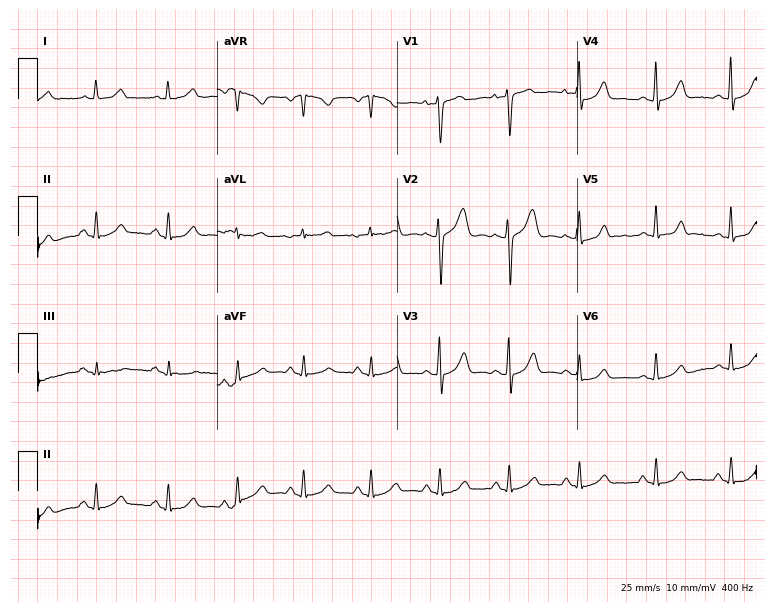
Resting 12-lead electrocardiogram (7.3-second recording at 400 Hz). Patient: a female, 46 years old. None of these six findings is recorded: first-degree AV block, right bundle branch block, left bundle branch block, sinus bradycardia, atrial fibrillation, sinus tachycardia. Only these six findings were labelled.